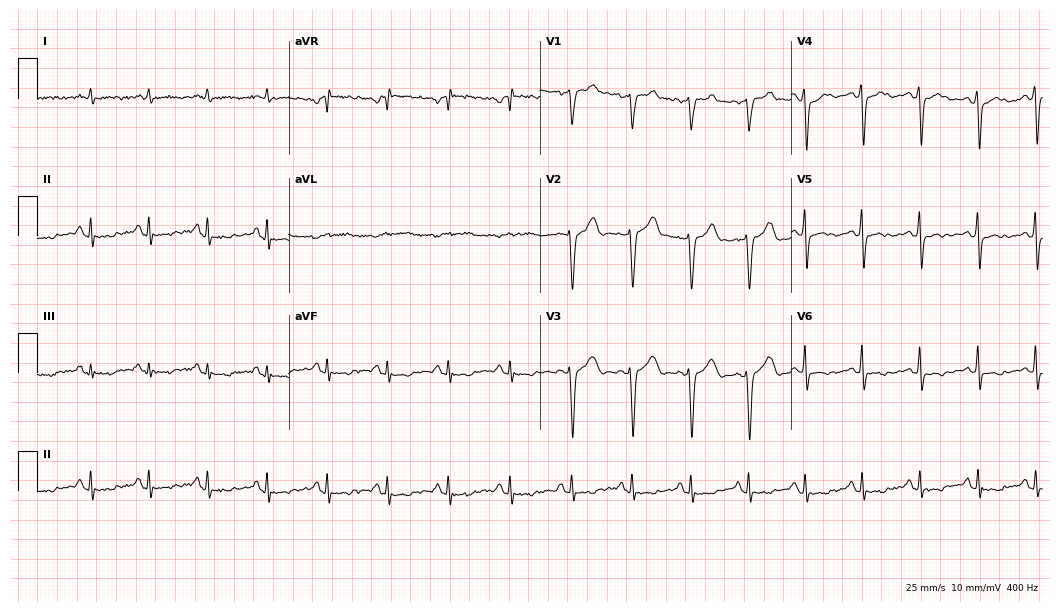
Standard 12-lead ECG recorded from a male patient, 47 years old. None of these six findings is recorded: first-degree AV block, right bundle branch block (RBBB), left bundle branch block (LBBB), sinus bradycardia, atrial fibrillation (AF), sinus tachycardia. Only these six findings were labelled.